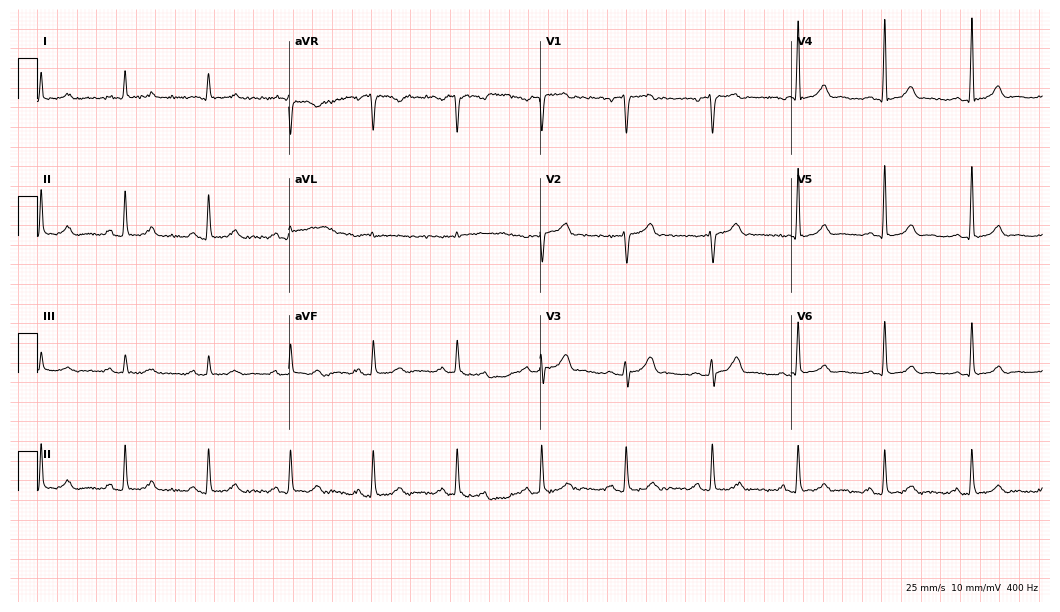
Standard 12-lead ECG recorded from a 62-year-old man. Read as a normal ECG.